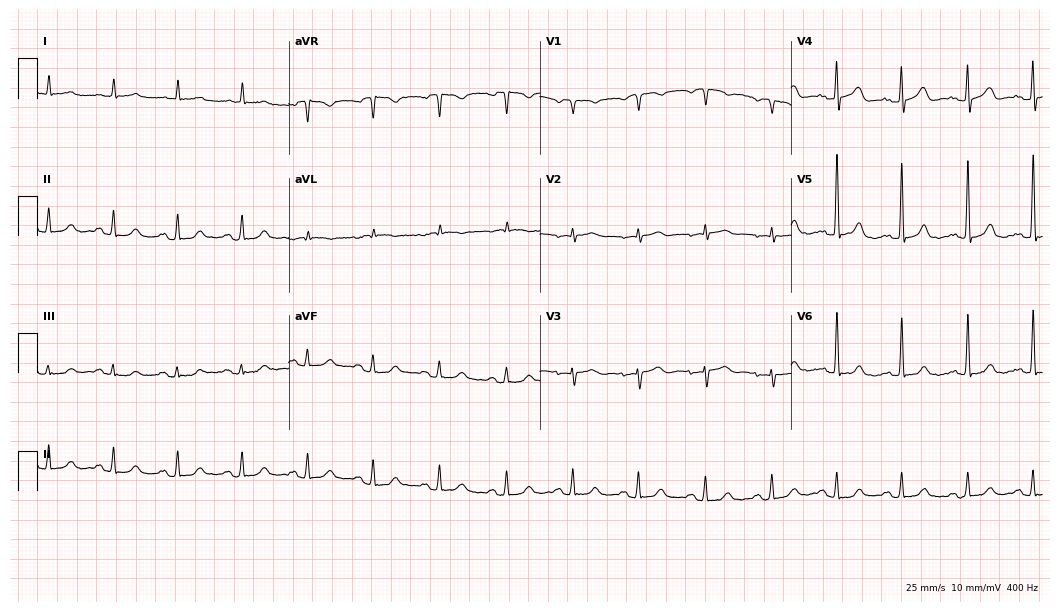
12-lead ECG from a 77-year-old female patient. No first-degree AV block, right bundle branch block, left bundle branch block, sinus bradycardia, atrial fibrillation or sinus tachycardia recorded for this tracing.